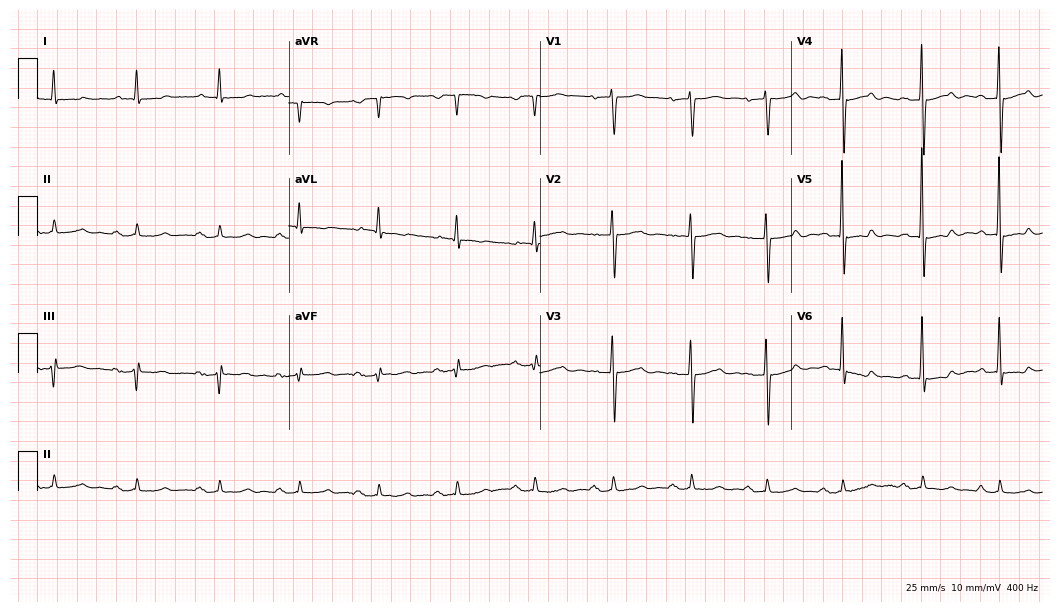
ECG (10.2-second recording at 400 Hz) — a woman, 85 years old. Screened for six findings — first-degree AV block, right bundle branch block, left bundle branch block, sinus bradycardia, atrial fibrillation, sinus tachycardia — none is recorded.